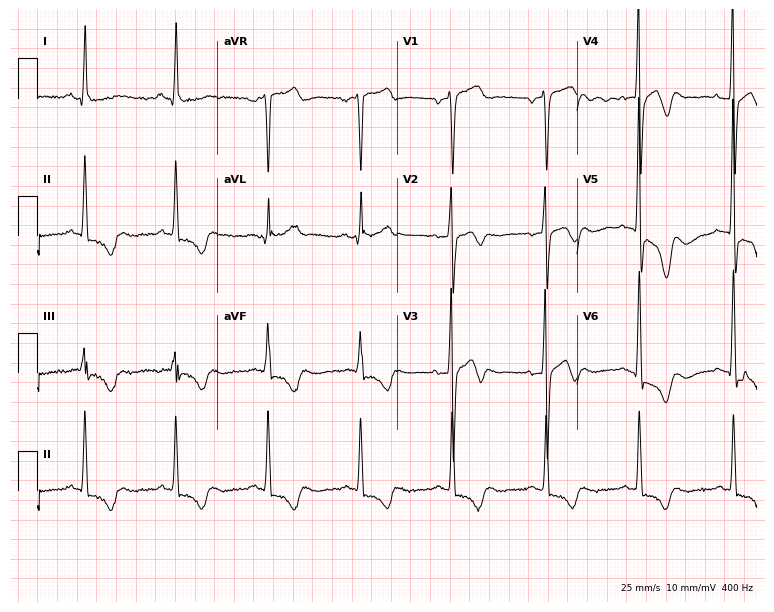
12-lead ECG from a 61-year-old female. Screened for six findings — first-degree AV block, right bundle branch block, left bundle branch block, sinus bradycardia, atrial fibrillation, sinus tachycardia — none is recorded. Other findings, if any, are not listed.